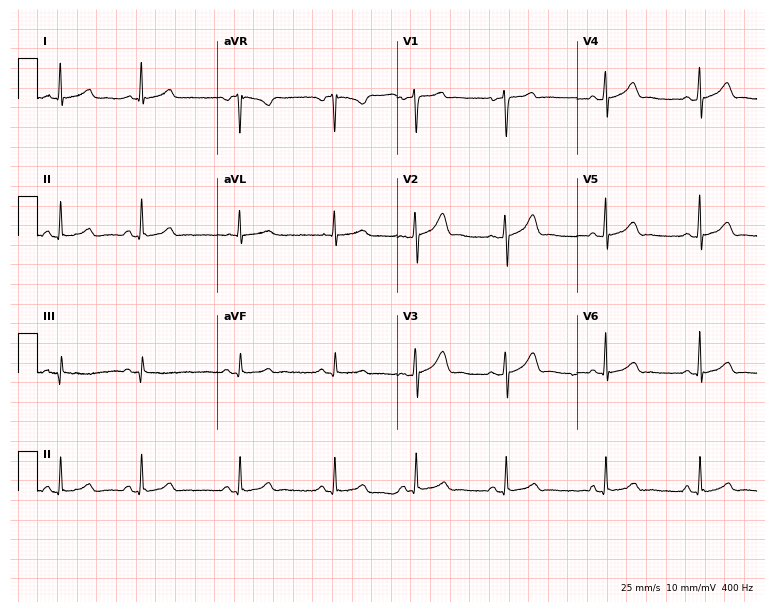
12-lead ECG (7.3-second recording at 400 Hz) from a 26-year-old female patient. Labelled as a normal ECG.